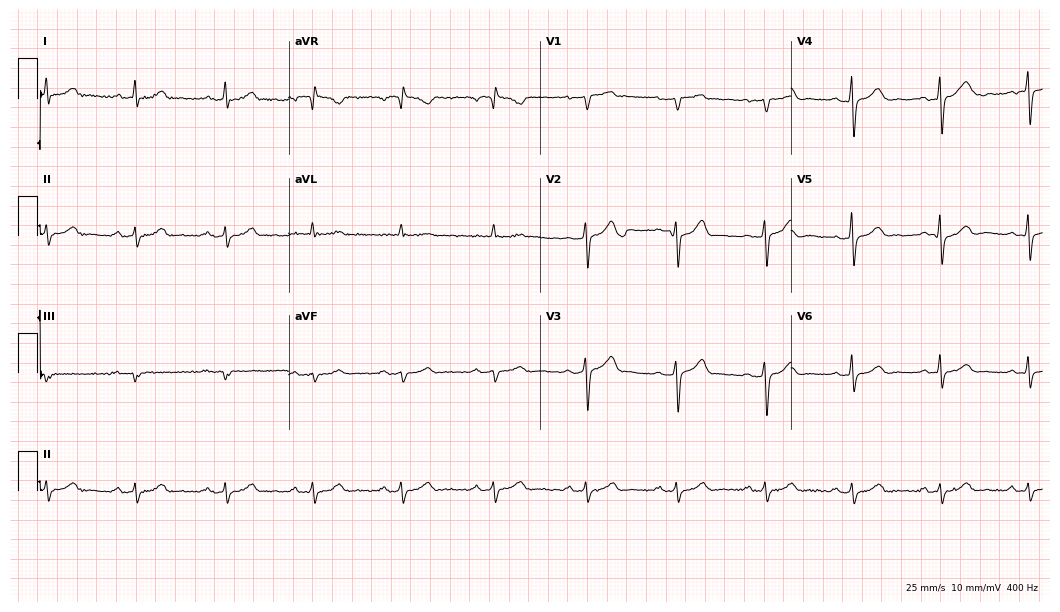
Electrocardiogram, a 53-year-old male. Interpretation includes first-degree AV block.